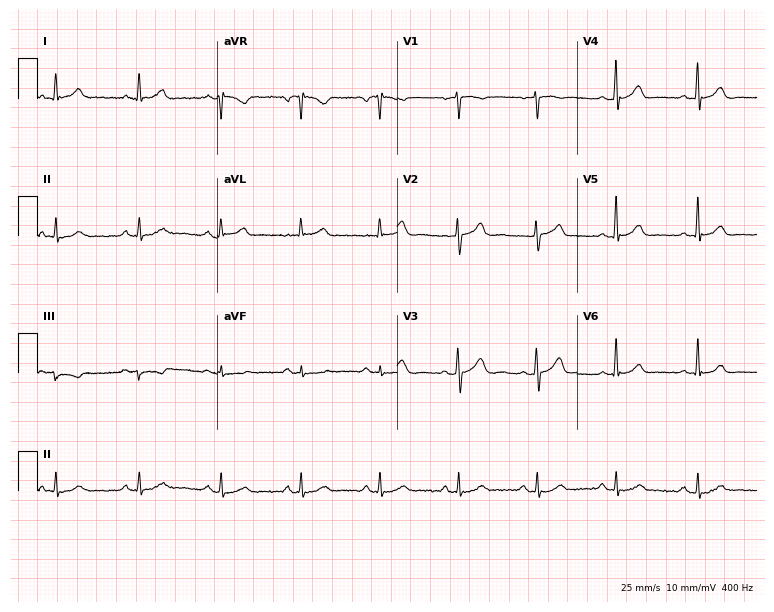
12-lead ECG from a male, 52 years old (7.3-second recording at 400 Hz). Recorded interpretation: within normal limits.